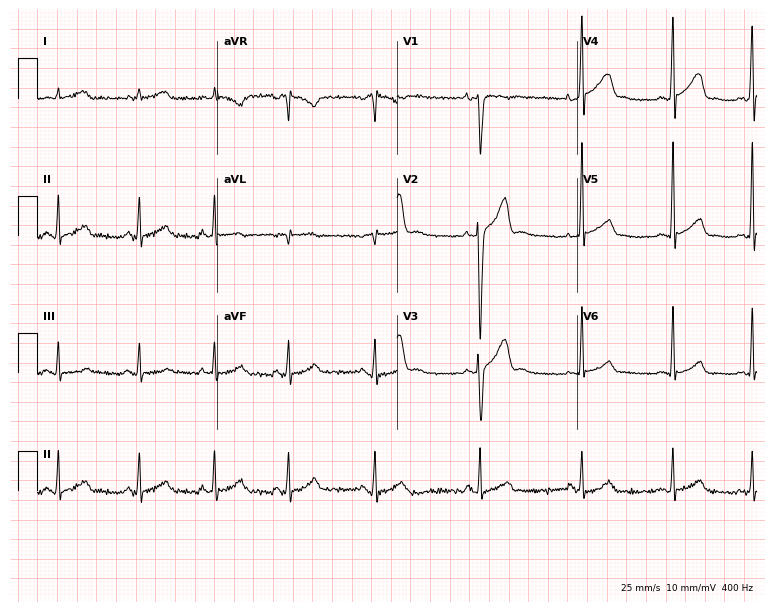
12-lead ECG (7.3-second recording at 400 Hz) from a male patient, 25 years old. Screened for six findings — first-degree AV block, right bundle branch block, left bundle branch block, sinus bradycardia, atrial fibrillation, sinus tachycardia — none is recorded. Findings outside these six are not listed.